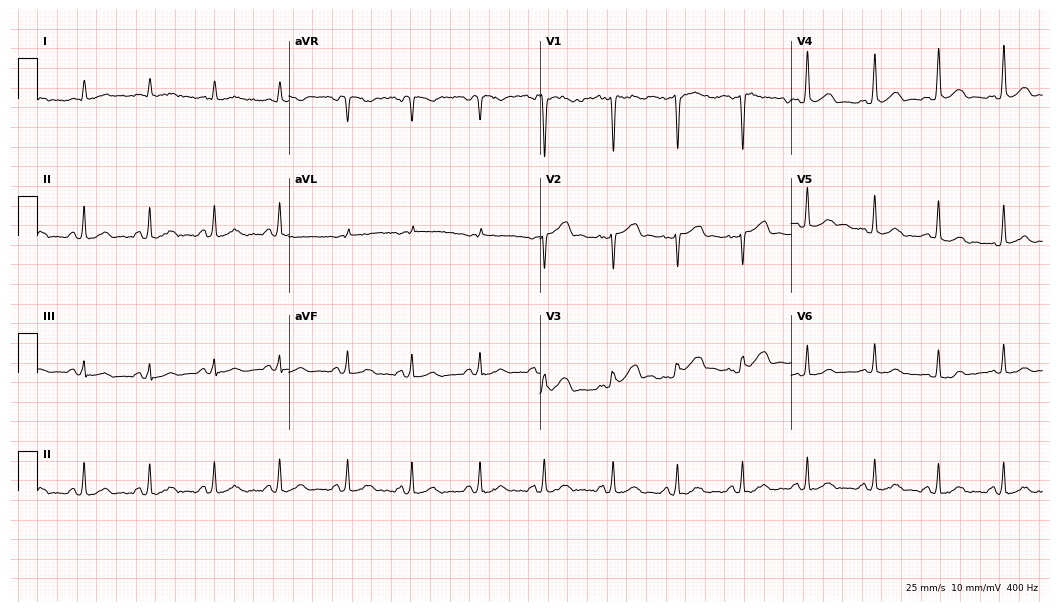
12-lead ECG from a man, 49 years old (10.2-second recording at 400 Hz). No first-degree AV block, right bundle branch block, left bundle branch block, sinus bradycardia, atrial fibrillation or sinus tachycardia recorded for this tracing.